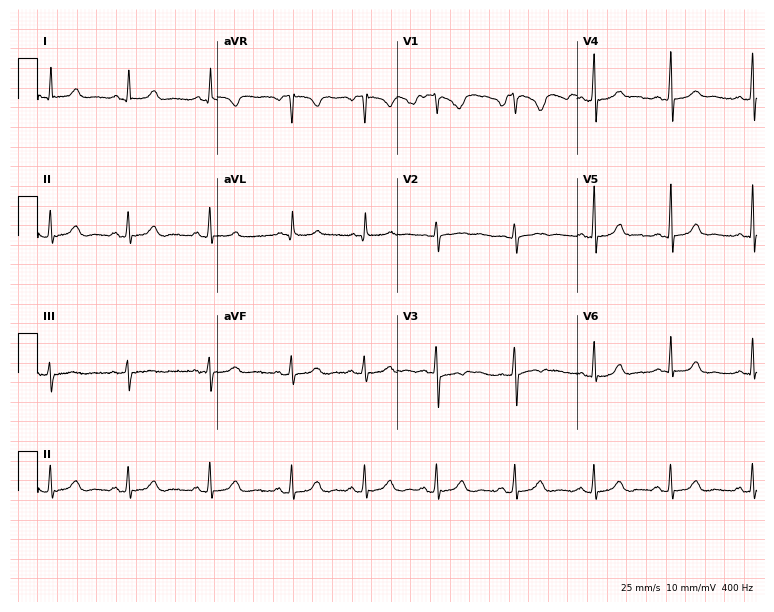
Electrocardiogram, a 30-year-old woman. Of the six screened findings (first-degree AV block, right bundle branch block (RBBB), left bundle branch block (LBBB), sinus bradycardia, atrial fibrillation (AF), sinus tachycardia), none is recorded. Only these six findings were labelled.